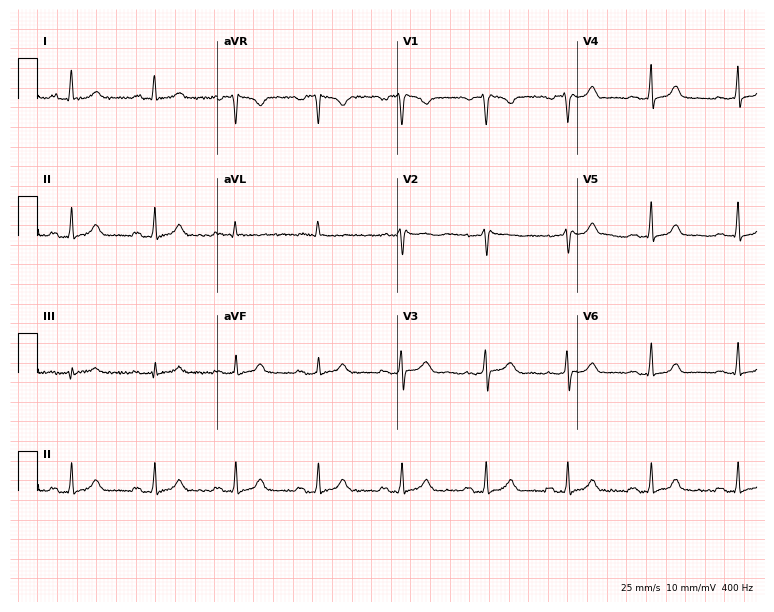
12-lead ECG from a 56-year-old woman. No first-degree AV block, right bundle branch block, left bundle branch block, sinus bradycardia, atrial fibrillation or sinus tachycardia recorded for this tracing. Other findings, if any, are not listed.